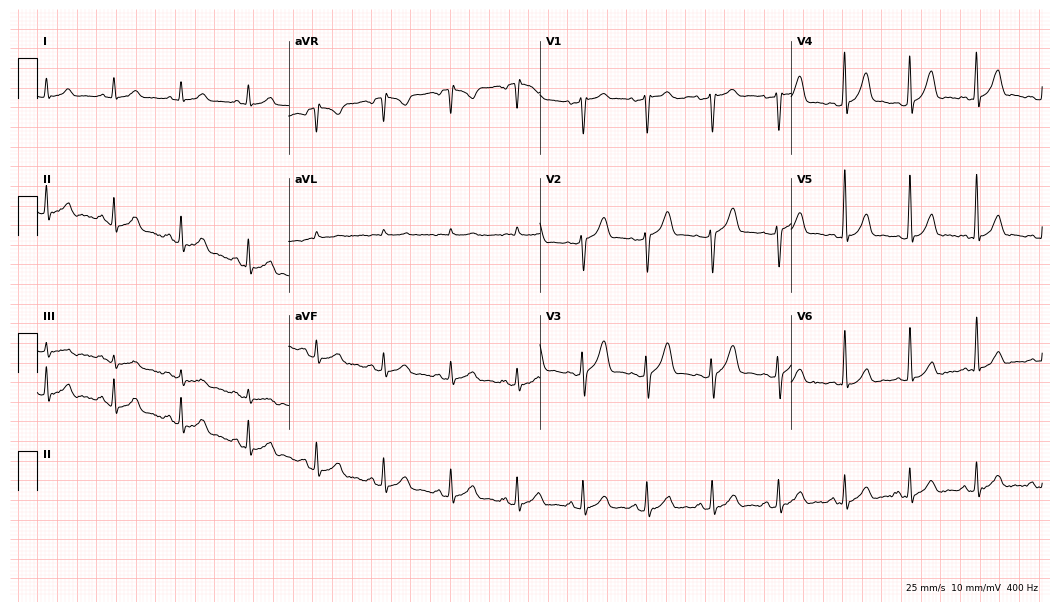
Standard 12-lead ECG recorded from a male, 23 years old (10.2-second recording at 400 Hz). None of these six findings is recorded: first-degree AV block, right bundle branch block (RBBB), left bundle branch block (LBBB), sinus bradycardia, atrial fibrillation (AF), sinus tachycardia.